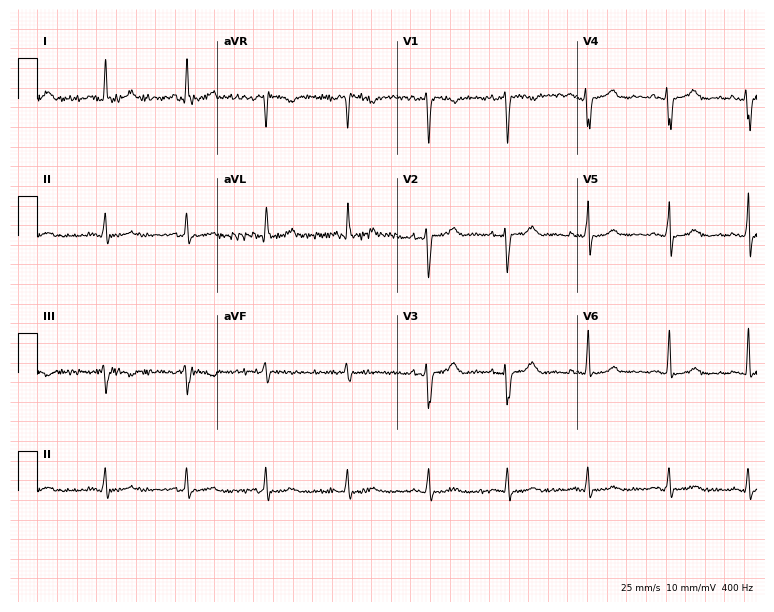
12-lead ECG (7.3-second recording at 400 Hz) from a 46-year-old female. Screened for six findings — first-degree AV block, right bundle branch block, left bundle branch block, sinus bradycardia, atrial fibrillation, sinus tachycardia — none is recorded. Findings outside these six are not listed.